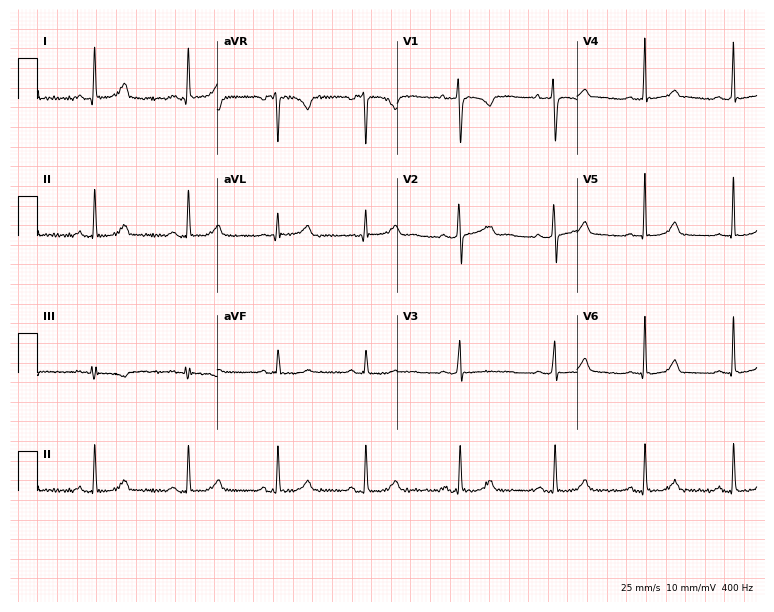
12-lead ECG from a 21-year-old female. Labelled as a normal ECG.